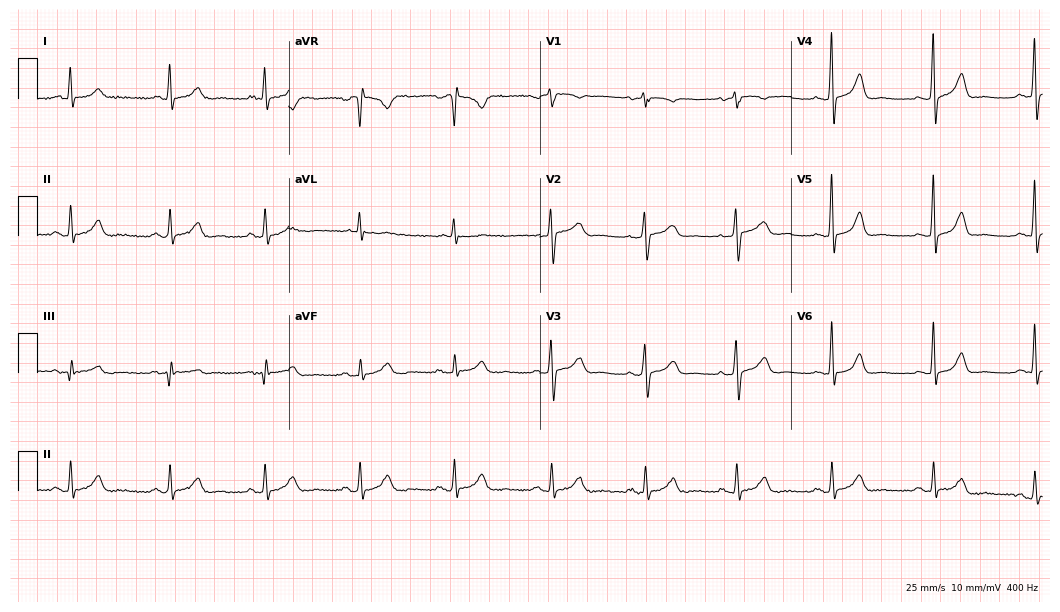
12-lead ECG from a female patient, 59 years old. Labelled as a normal ECG.